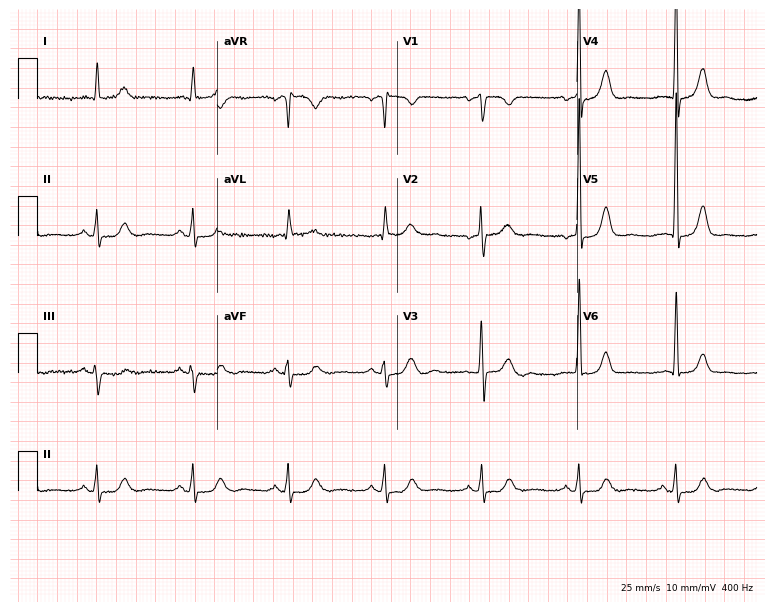
Electrocardiogram (7.3-second recording at 400 Hz), a 70-year-old man. Of the six screened findings (first-degree AV block, right bundle branch block, left bundle branch block, sinus bradycardia, atrial fibrillation, sinus tachycardia), none is recorded.